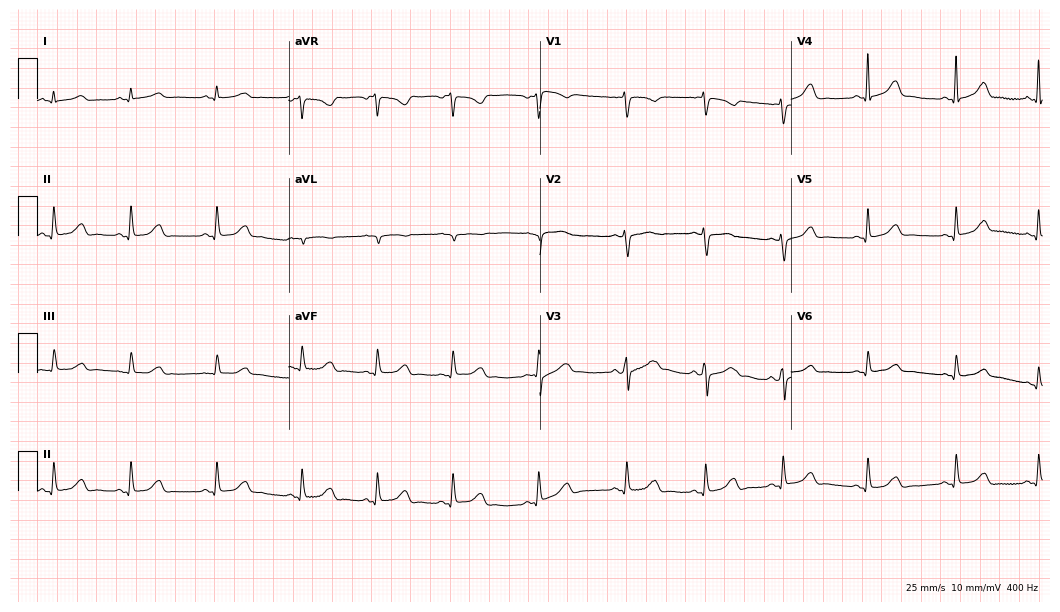
Resting 12-lead electrocardiogram. Patient: a 27-year-old female. Read as a normal ECG.